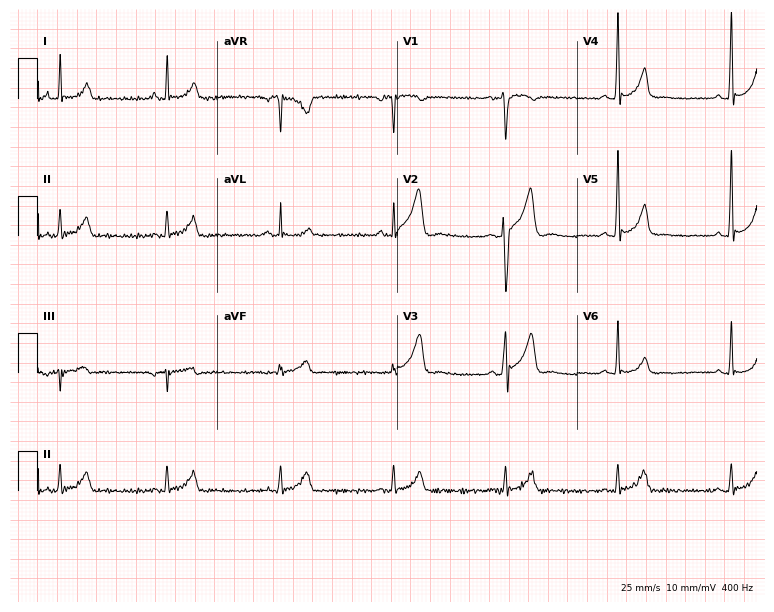
Standard 12-lead ECG recorded from a 37-year-old male (7.3-second recording at 400 Hz). Read as a normal ECG.